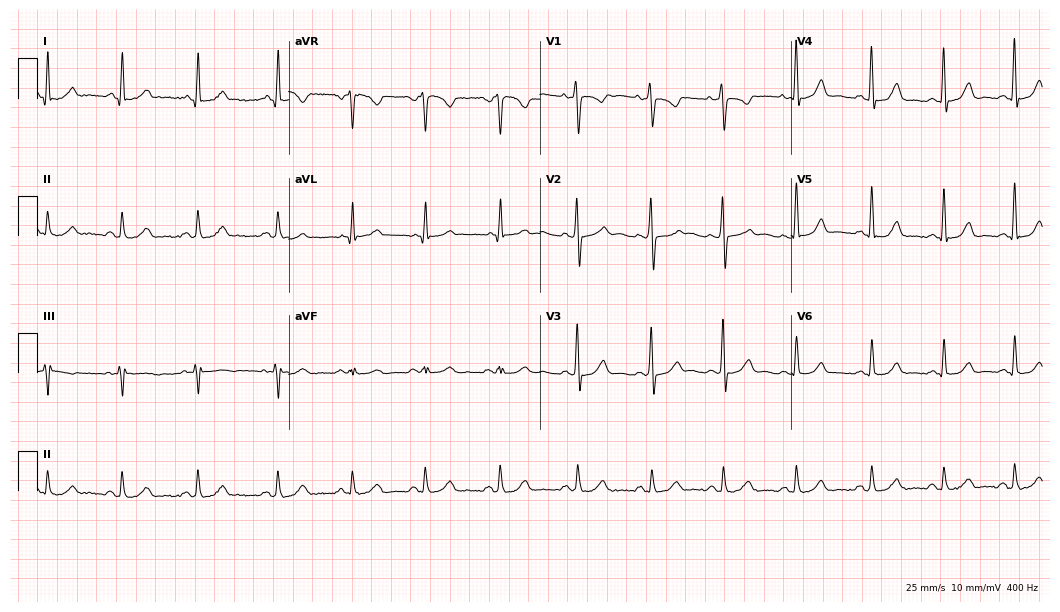
Electrocardiogram (10.2-second recording at 400 Hz), a 42-year-old female. Overall reading on record: normal ECG.